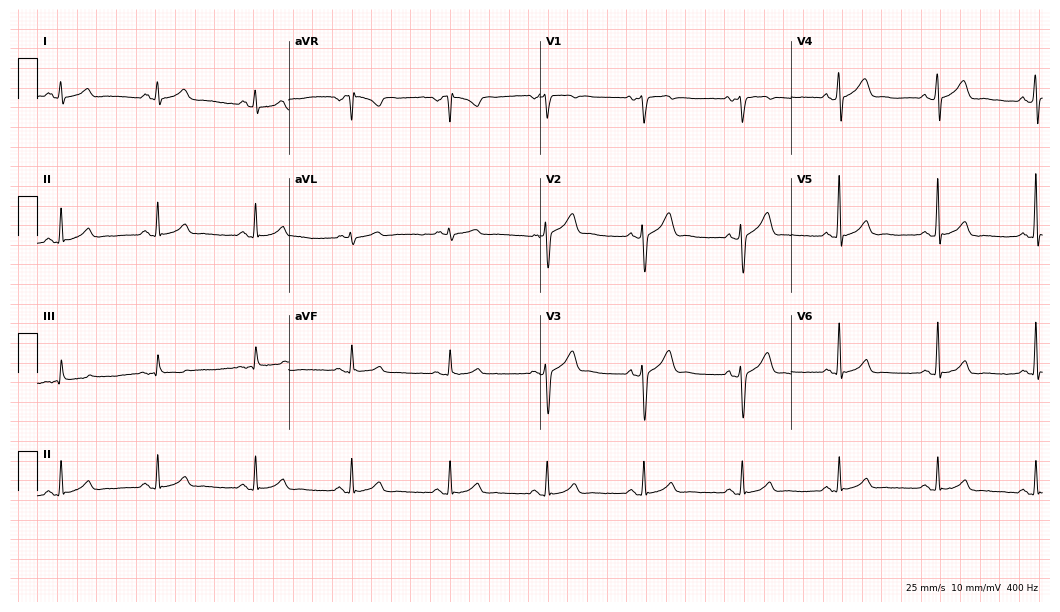
ECG (10.2-second recording at 400 Hz) — a 33-year-old male. Labelled as a normal ECG.